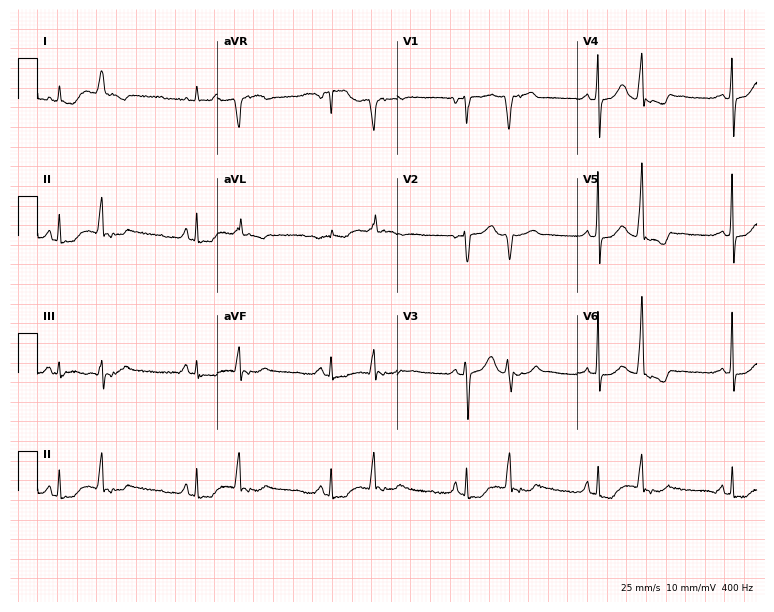
ECG — a 79-year-old woman. Screened for six findings — first-degree AV block, right bundle branch block (RBBB), left bundle branch block (LBBB), sinus bradycardia, atrial fibrillation (AF), sinus tachycardia — none is recorded.